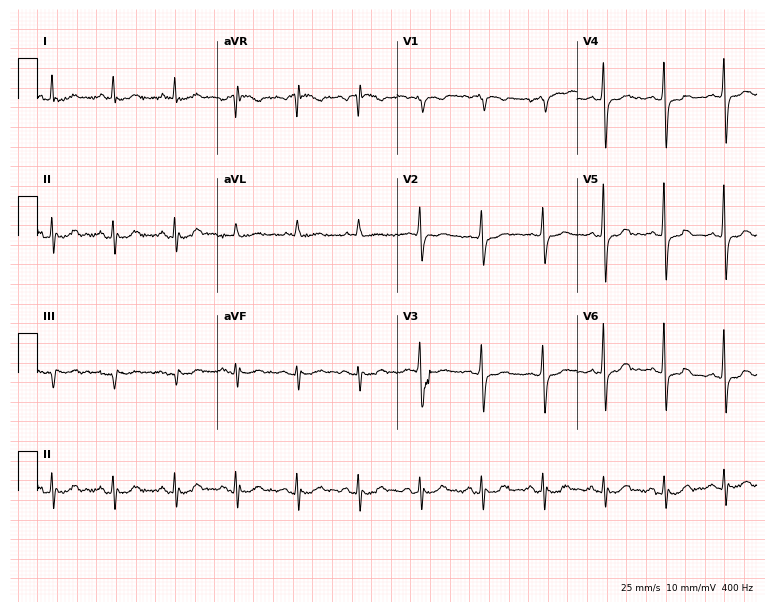
Standard 12-lead ECG recorded from a 76-year-old woman. None of these six findings is recorded: first-degree AV block, right bundle branch block, left bundle branch block, sinus bradycardia, atrial fibrillation, sinus tachycardia.